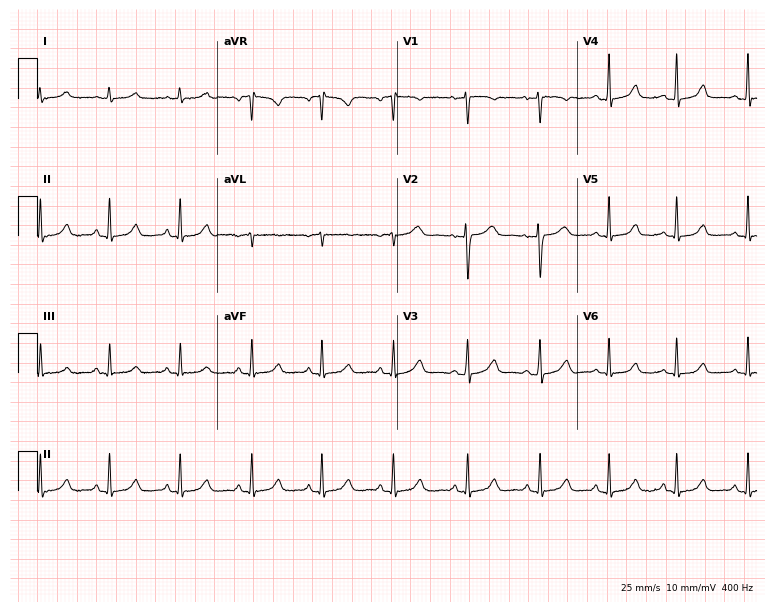
Resting 12-lead electrocardiogram (7.3-second recording at 400 Hz). Patient: a 29-year-old female. Read as a normal ECG.